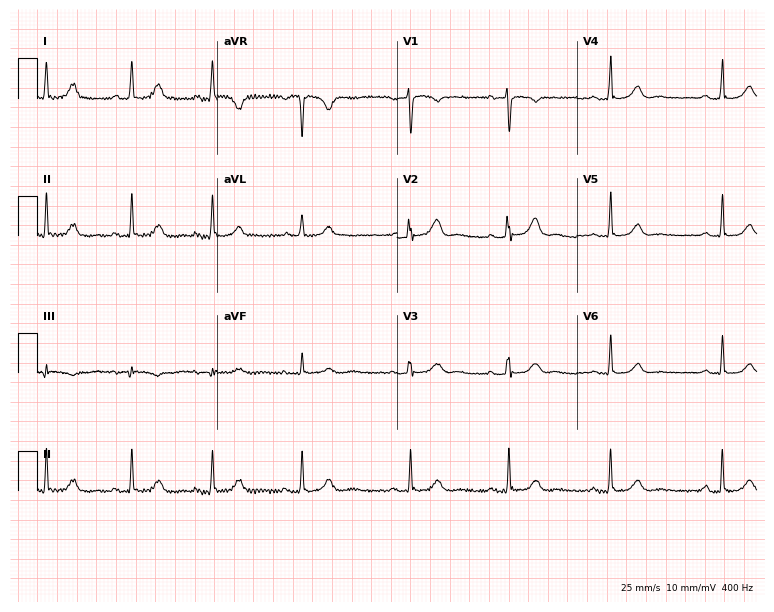
Standard 12-lead ECG recorded from a 57-year-old female patient (7.3-second recording at 400 Hz). Read as a normal ECG.